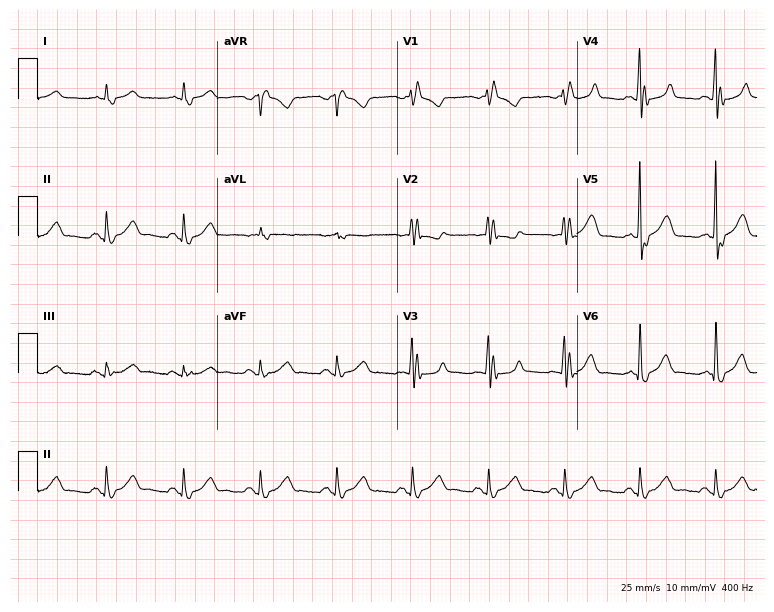
12-lead ECG from a 75-year-old male (7.3-second recording at 400 Hz). Shows right bundle branch block (RBBB).